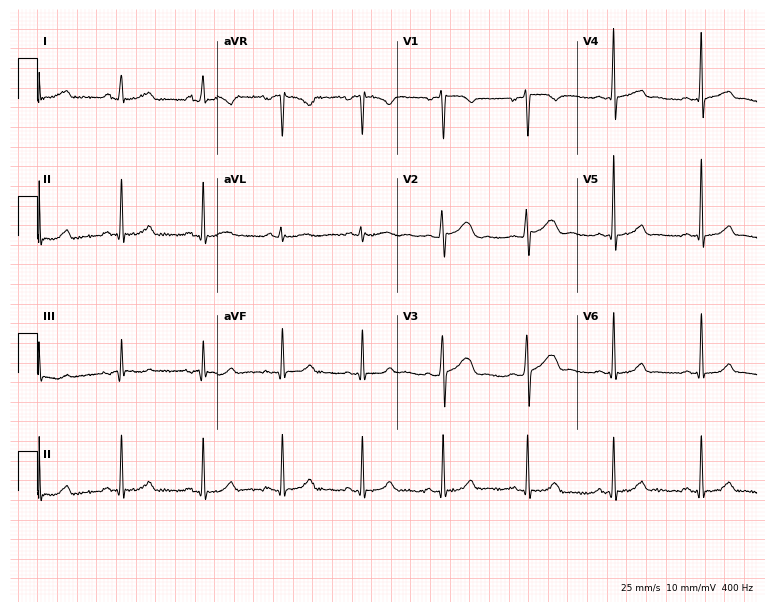
Electrocardiogram, a 43-year-old woman. Overall reading on record: normal ECG.